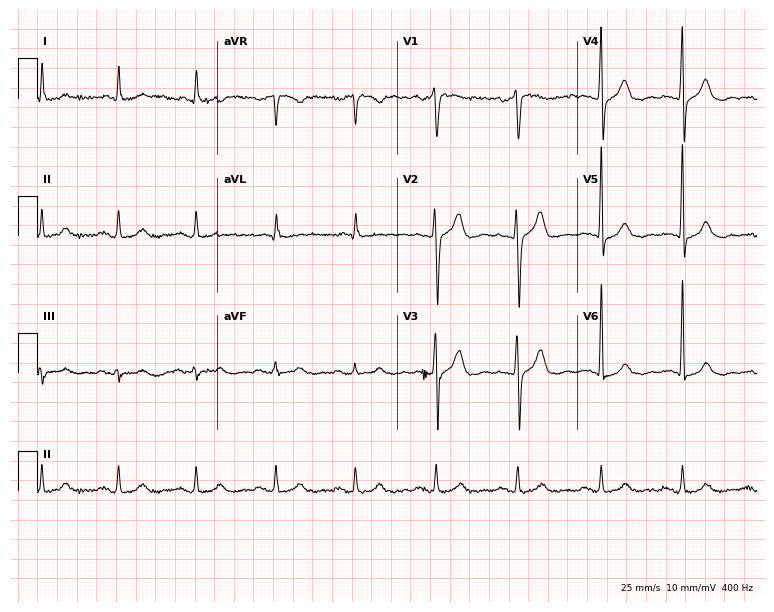
ECG — a 67-year-old female patient. Labelled as a normal ECG.